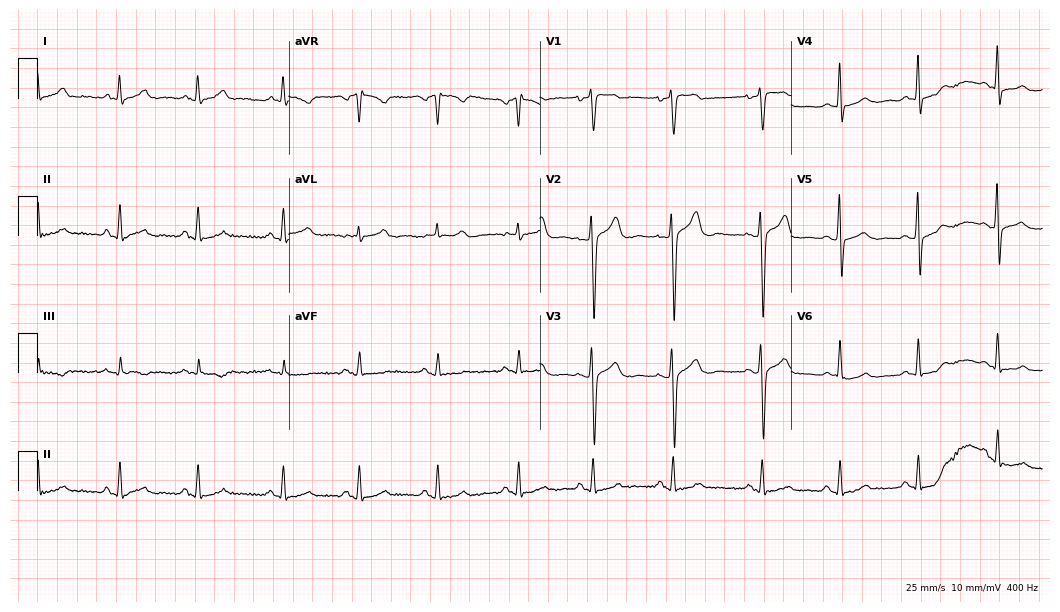
12-lead ECG from a 22-year-old man (10.2-second recording at 400 Hz). No first-degree AV block, right bundle branch block, left bundle branch block, sinus bradycardia, atrial fibrillation or sinus tachycardia recorded for this tracing. Findings outside these six are not listed.